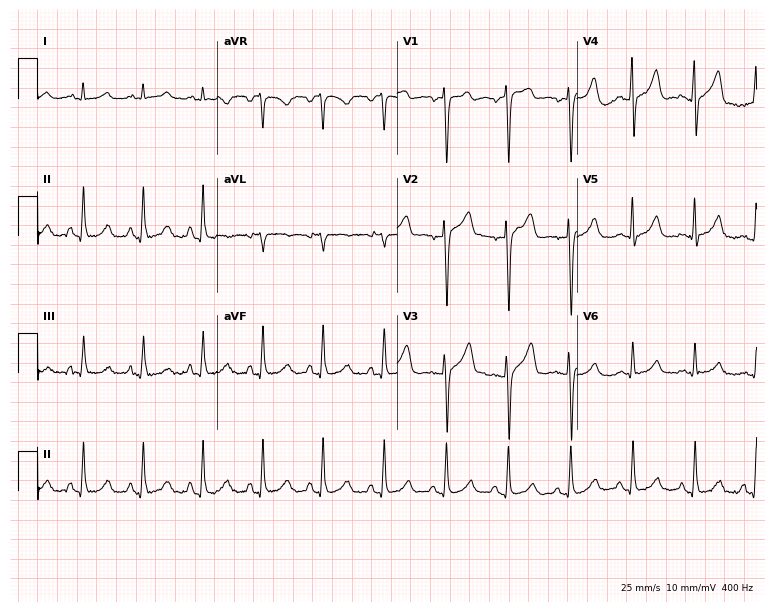
Electrocardiogram, a man, 50 years old. Overall reading on record: normal ECG.